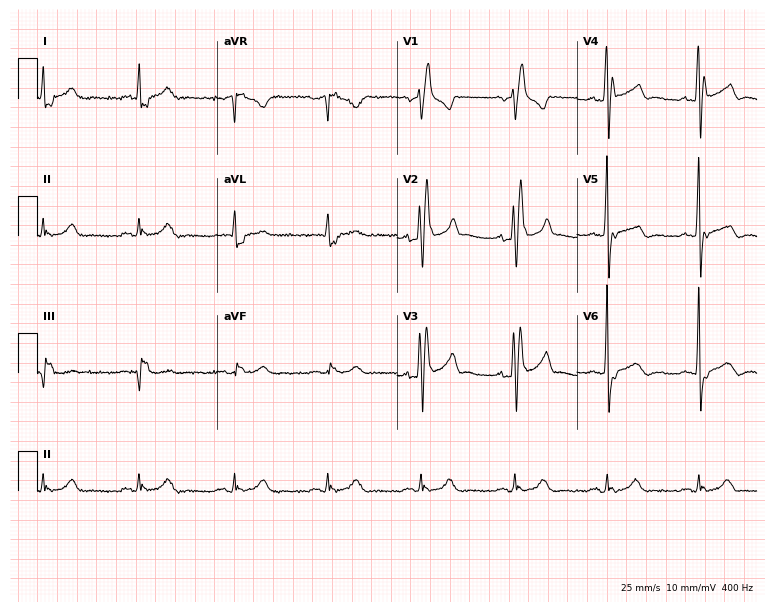
Standard 12-lead ECG recorded from a 50-year-old male (7.3-second recording at 400 Hz). The tracing shows right bundle branch block.